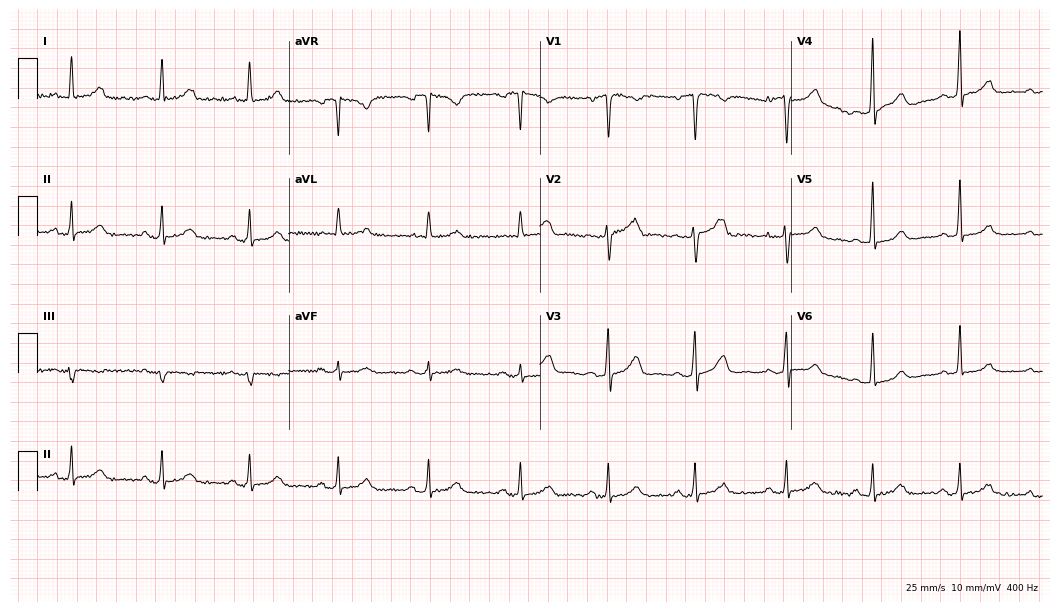
Resting 12-lead electrocardiogram (10.2-second recording at 400 Hz). Patient: a 50-year-old woman. Read as a normal ECG.